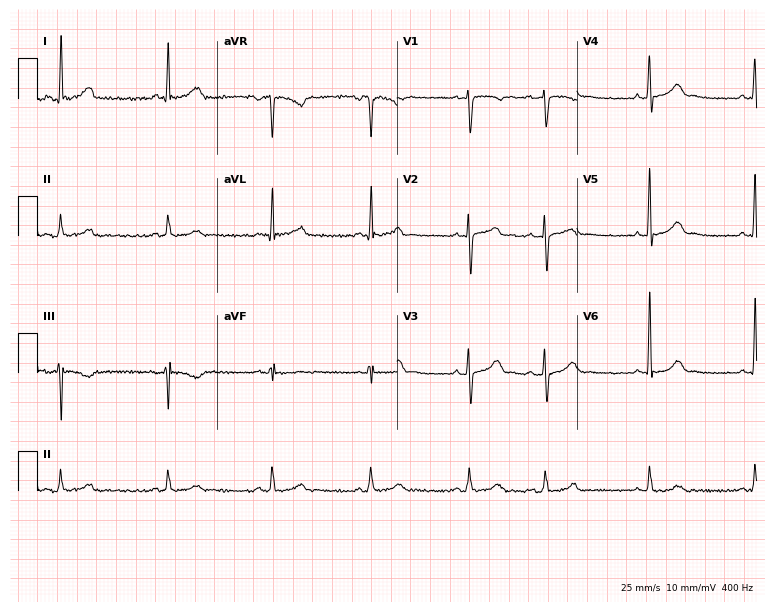
12-lead ECG (7.3-second recording at 400 Hz) from a 53-year-old female patient. Screened for six findings — first-degree AV block, right bundle branch block, left bundle branch block, sinus bradycardia, atrial fibrillation, sinus tachycardia — none is recorded.